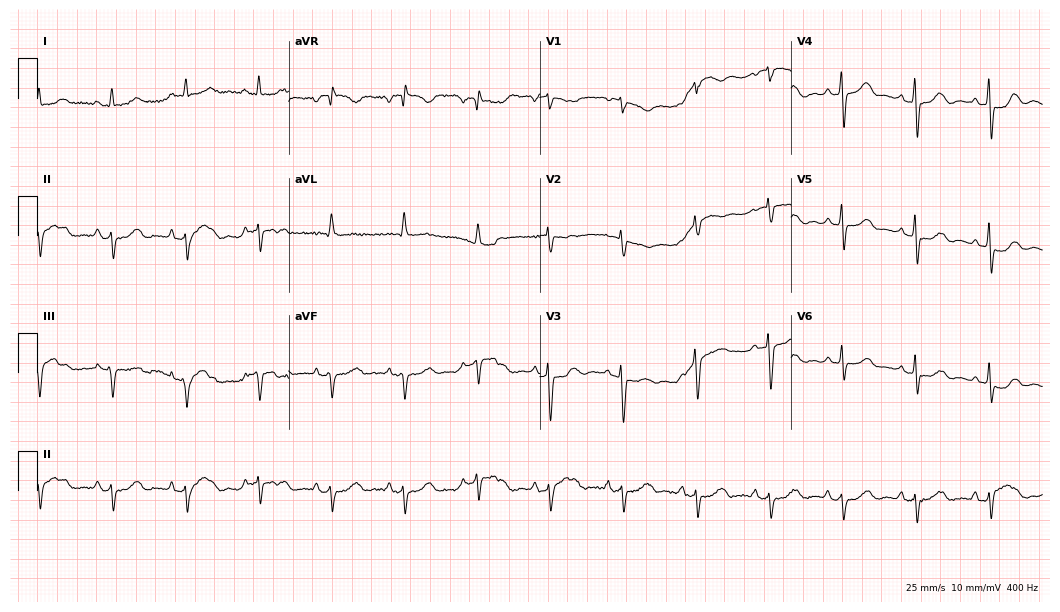
12-lead ECG from a female patient, 86 years old. No first-degree AV block, right bundle branch block (RBBB), left bundle branch block (LBBB), sinus bradycardia, atrial fibrillation (AF) or sinus tachycardia recorded for this tracing. Other findings, if any, are not listed.